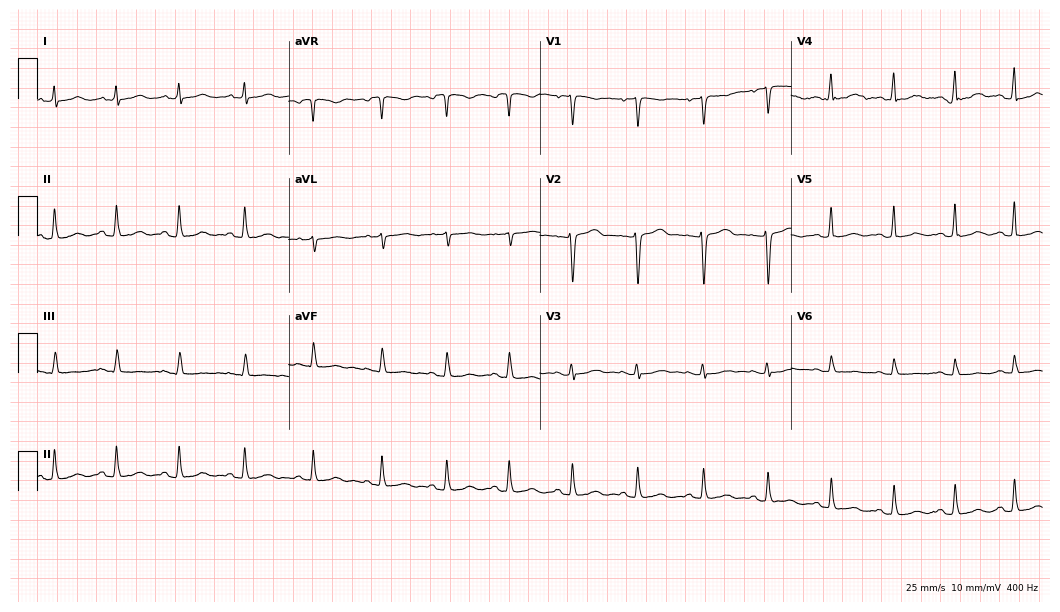
Resting 12-lead electrocardiogram (10.2-second recording at 400 Hz). Patient: a 24-year-old woman. None of these six findings is recorded: first-degree AV block, right bundle branch block, left bundle branch block, sinus bradycardia, atrial fibrillation, sinus tachycardia.